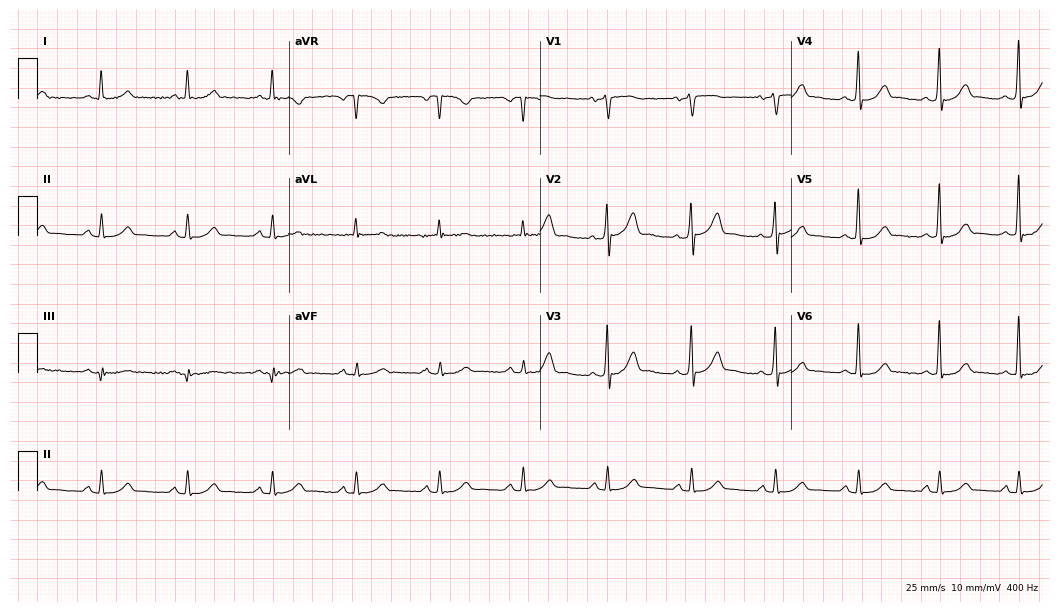
12-lead ECG from a male, 53 years old (10.2-second recording at 400 Hz). Recorded interpretation: within normal limits.